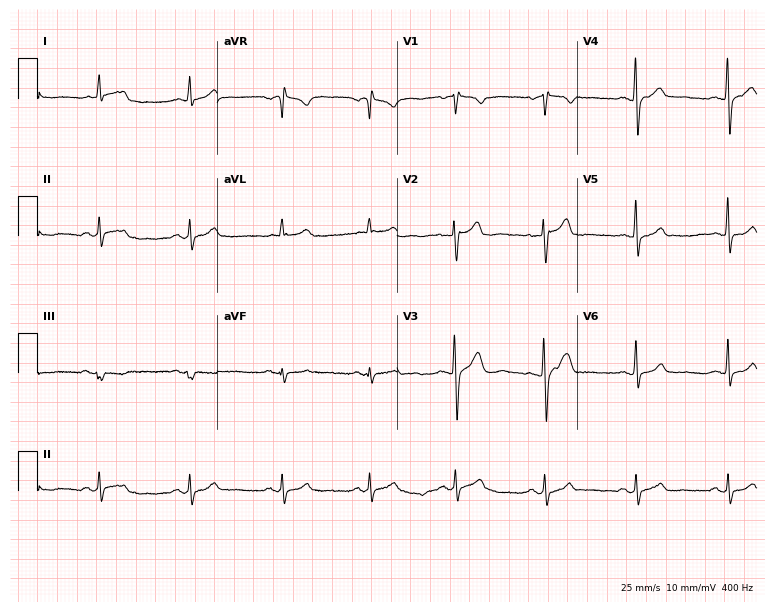
12-lead ECG from a 40-year-old man (7.3-second recording at 400 Hz). Recorded interpretation: within normal limits.